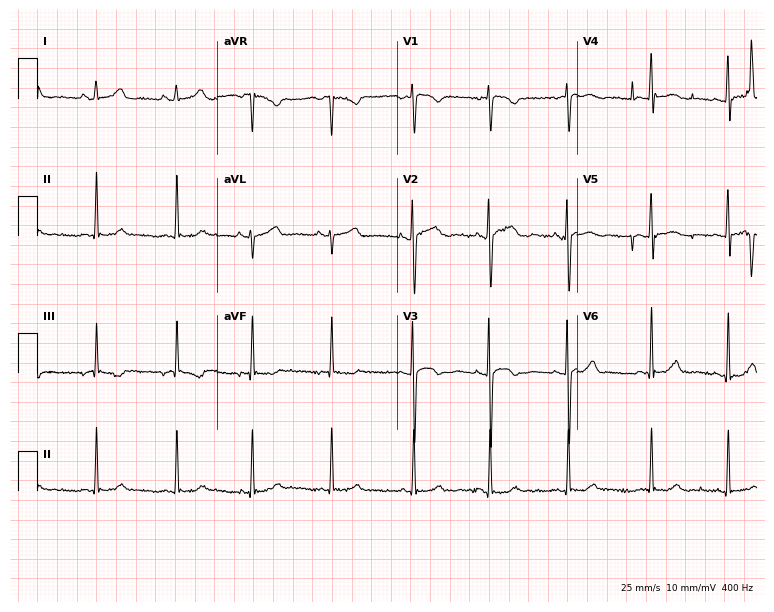
12-lead ECG from a female, 21 years old. Recorded interpretation: within normal limits.